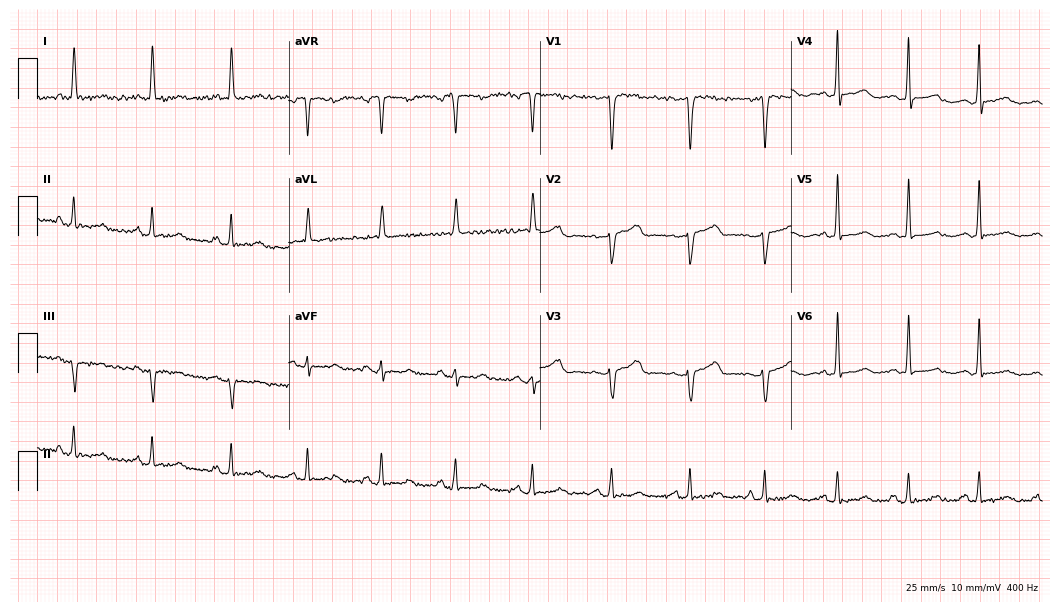
Standard 12-lead ECG recorded from a woman, 64 years old. Read as a normal ECG.